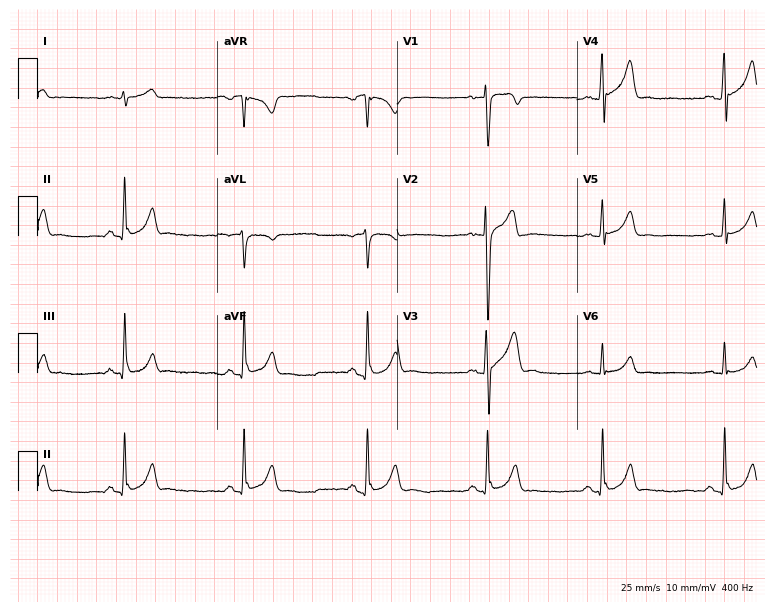
12-lead ECG from a 23-year-old male patient (7.3-second recording at 400 Hz). No first-degree AV block, right bundle branch block, left bundle branch block, sinus bradycardia, atrial fibrillation or sinus tachycardia recorded for this tracing.